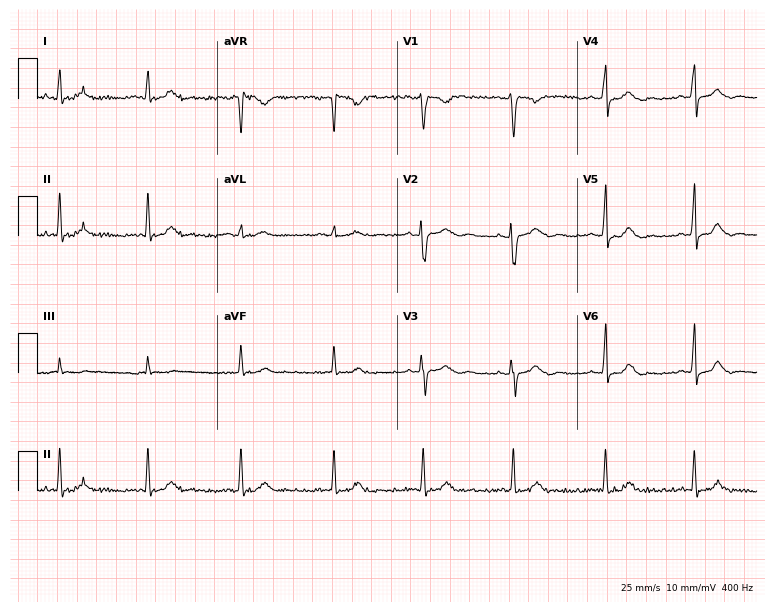
ECG — a female patient, 38 years old. Screened for six findings — first-degree AV block, right bundle branch block, left bundle branch block, sinus bradycardia, atrial fibrillation, sinus tachycardia — none is recorded.